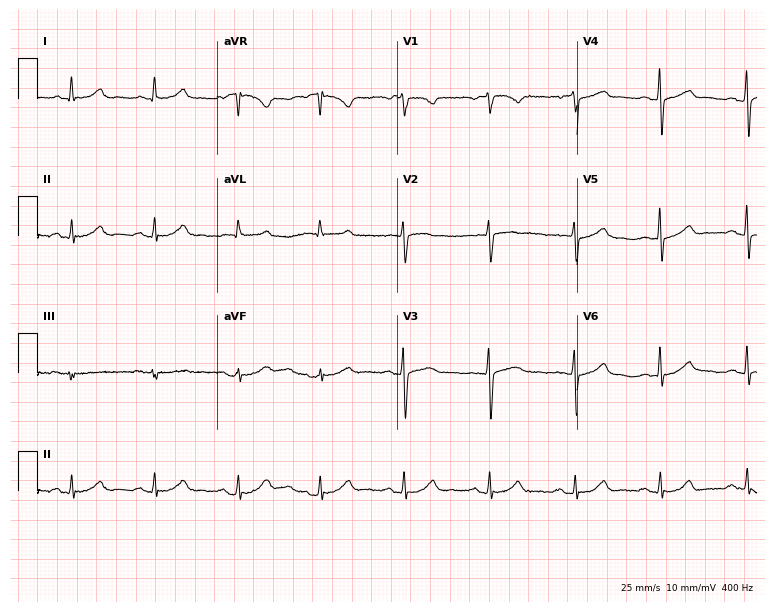
Electrocardiogram (7.3-second recording at 400 Hz), a woman, 45 years old. Of the six screened findings (first-degree AV block, right bundle branch block (RBBB), left bundle branch block (LBBB), sinus bradycardia, atrial fibrillation (AF), sinus tachycardia), none is recorded.